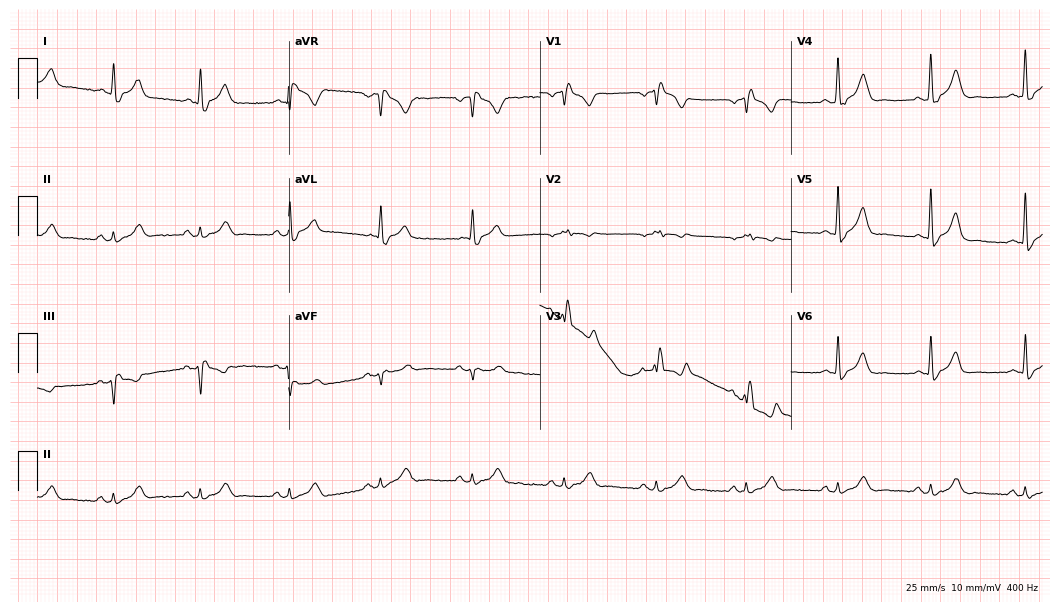
12-lead ECG from a 75-year-old male. Findings include right bundle branch block.